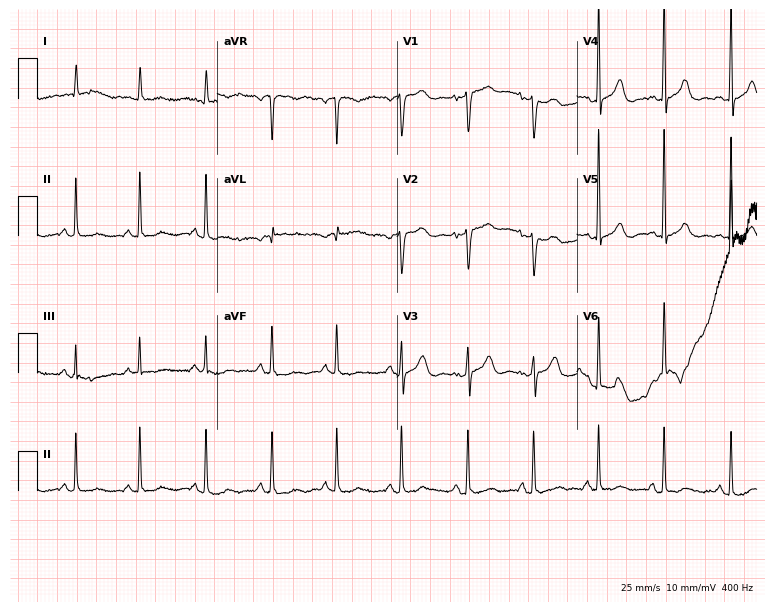
Standard 12-lead ECG recorded from a woman, 81 years old. None of these six findings is recorded: first-degree AV block, right bundle branch block (RBBB), left bundle branch block (LBBB), sinus bradycardia, atrial fibrillation (AF), sinus tachycardia. Findings outside these six are not listed.